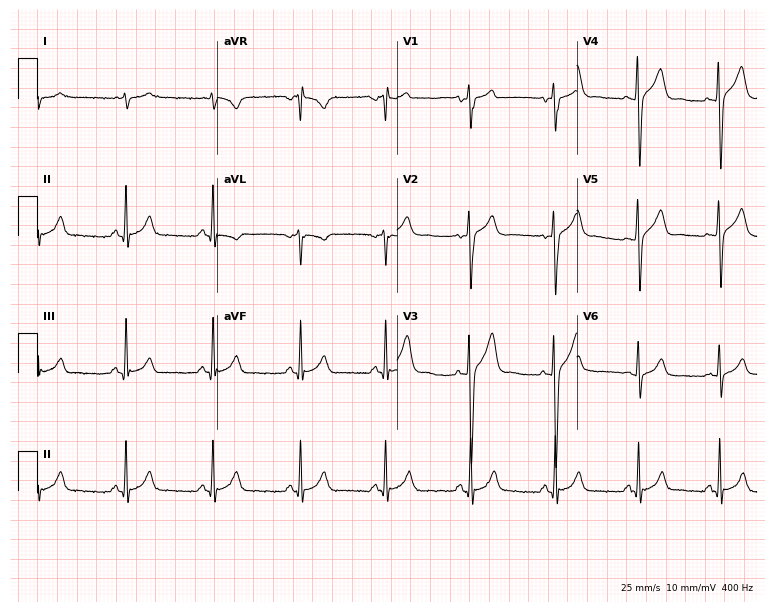
12-lead ECG from a 24-year-old male patient. Recorded interpretation: within normal limits.